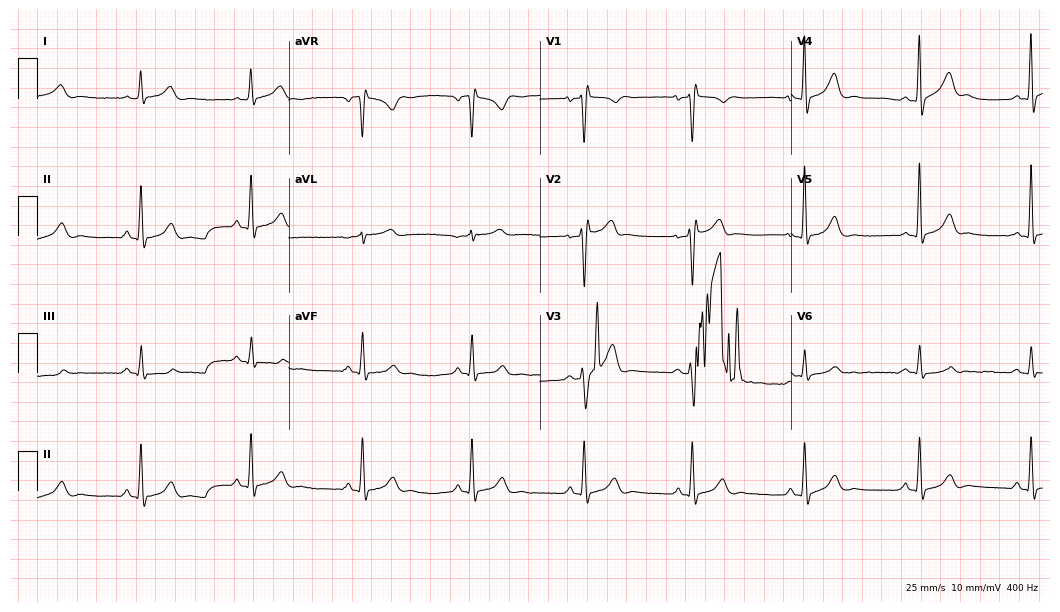
12-lead ECG (10.2-second recording at 400 Hz) from a male patient, 59 years old. Labelled as a normal ECG.